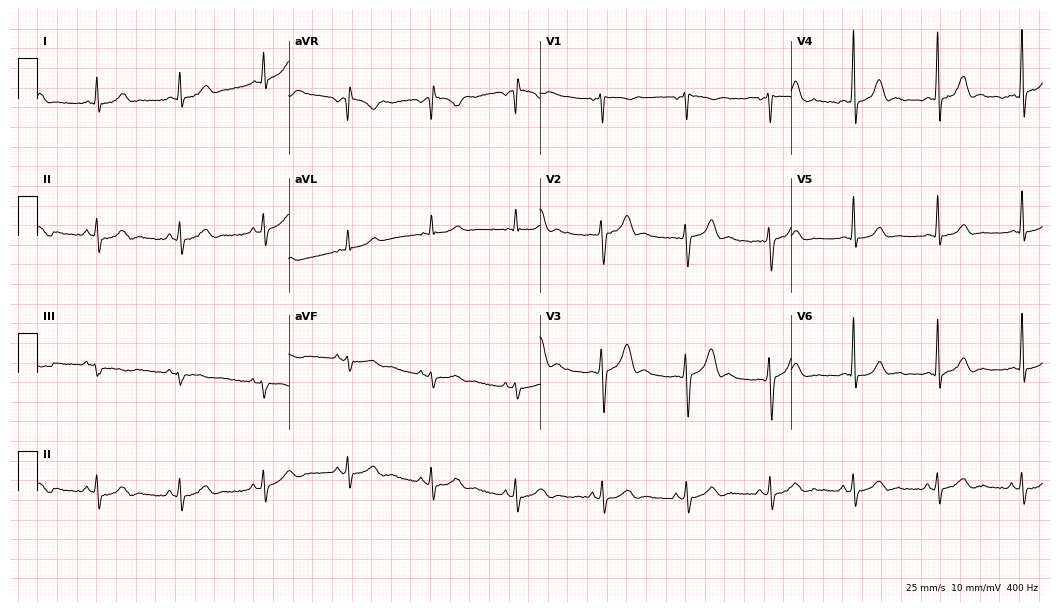
12-lead ECG from a 44-year-old man (10.2-second recording at 400 Hz). Recorded interpretation: within normal limits.